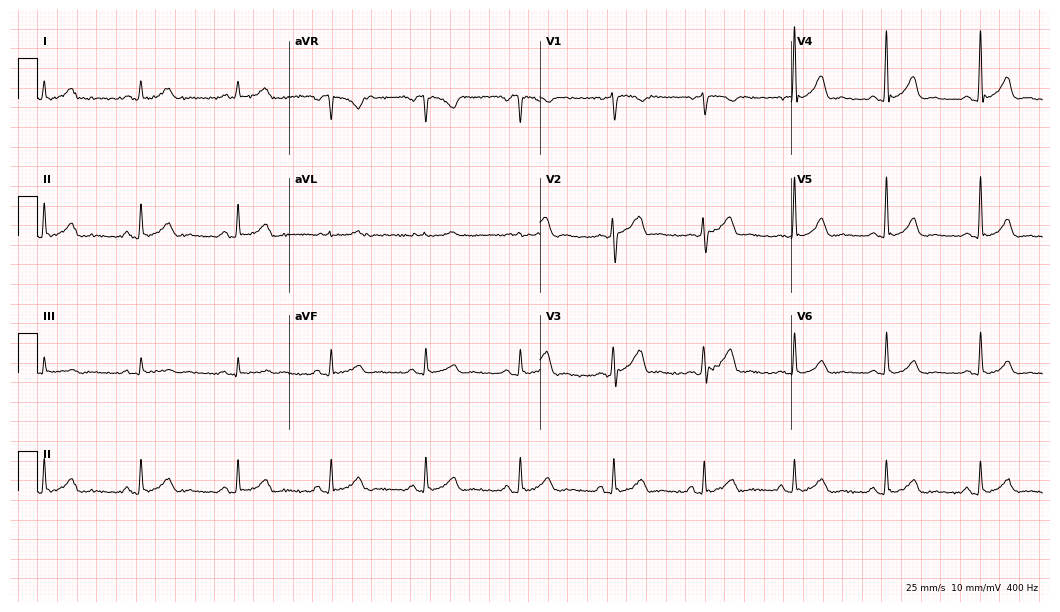
Electrocardiogram, a man, 37 years old. Overall reading on record: normal ECG.